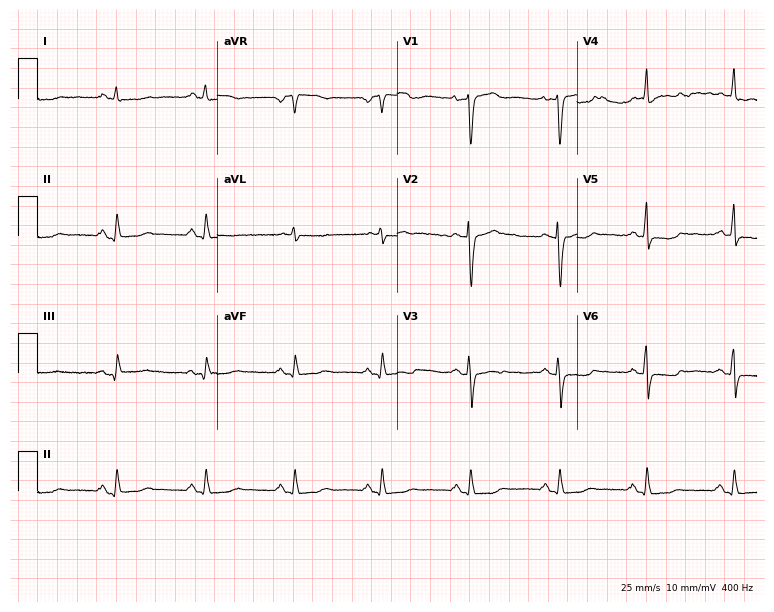
Standard 12-lead ECG recorded from a 61-year-old woman (7.3-second recording at 400 Hz). Read as a normal ECG.